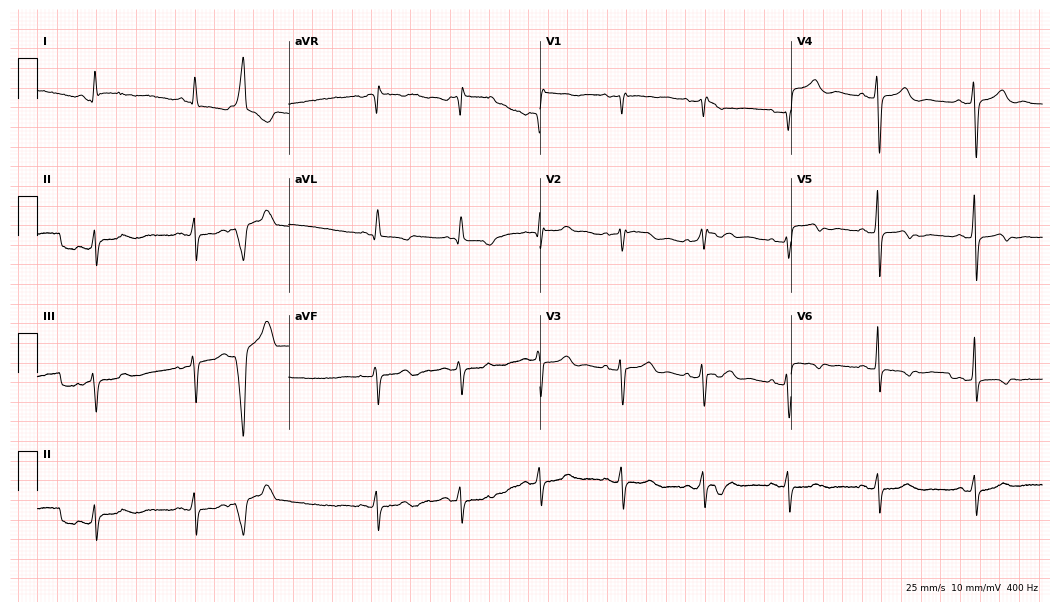
Electrocardiogram, a female, 59 years old. Of the six screened findings (first-degree AV block, right bundle branch block, left bundle branch block, sinus bradycardia, atrial fibrillation, sinus tachycardia), none is recorded.